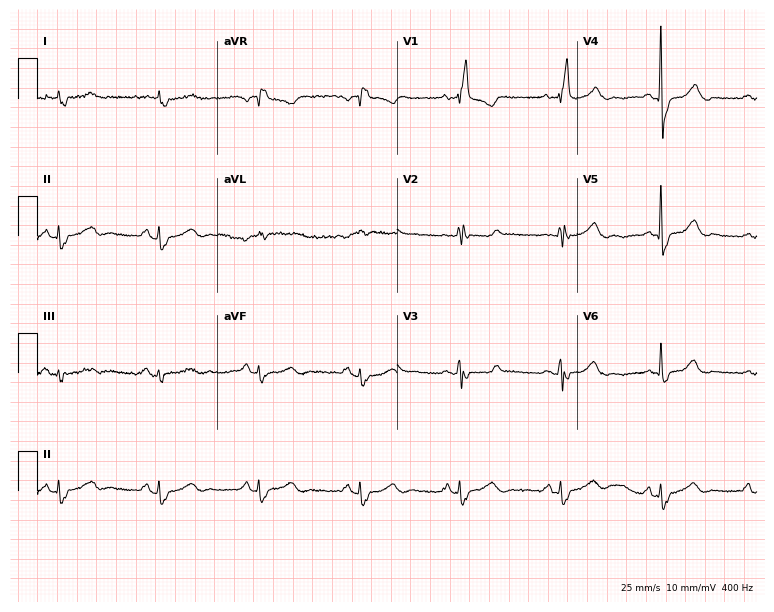
Resting 12-lead electrocardiogram. Patient: a 75-year-old female. The tracing shows right bundle branch block.